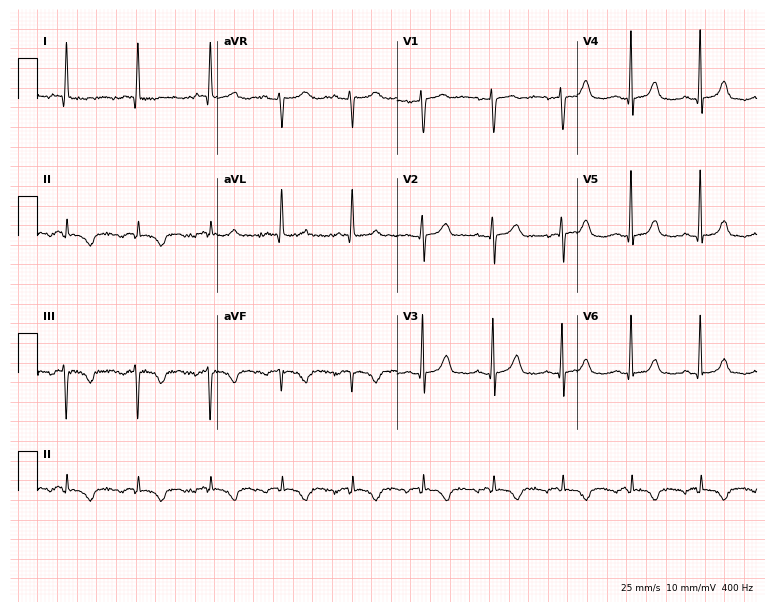
Electrocardiogram, a 52-year-old female patient. Of the six screened findings (first-degree AV block, right bundle branch block, left bundle branch block, sinus bradycardia, atrial fibrillation, sinus tachycardia), none is recorded.